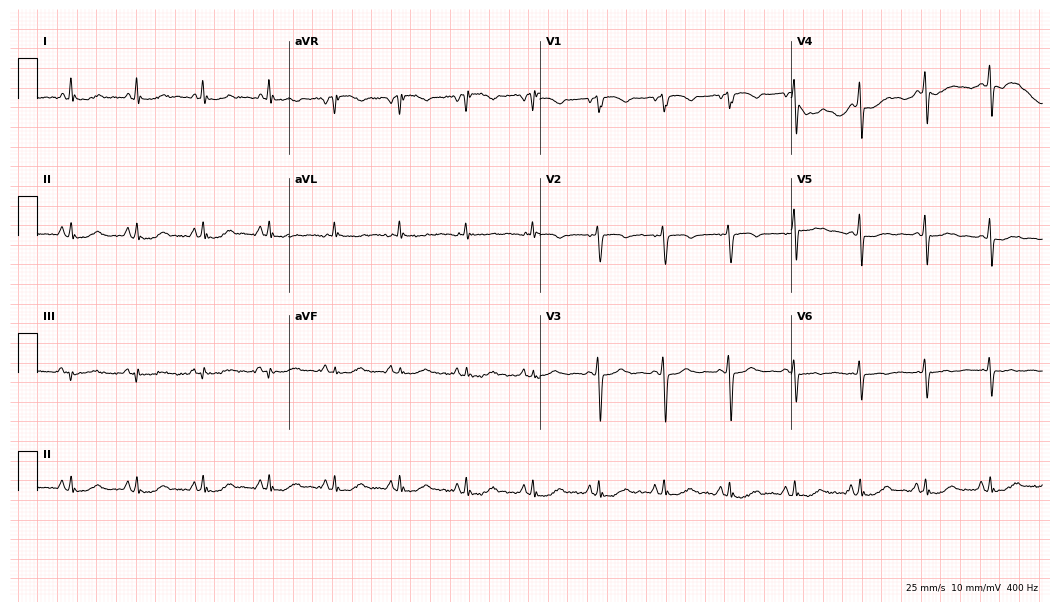
Electrocardiogram, a female, 55 years old. Of the six screened findings (first-degree AV block, right bundle branch block, left bundle branch block, sinus bradycardia, atrial fibrillation, sinus tachycardia), none is recorded.